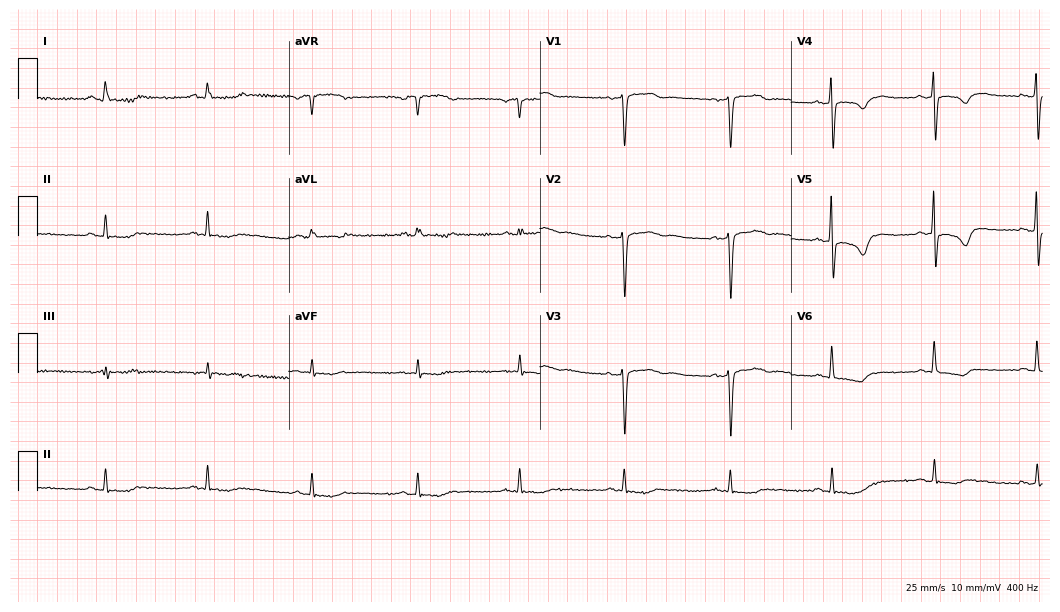
Resting 12-lead electrocardiogram. Patient: a female, 68 years old. None of these six findings is recorded: first-degree AV block, right bundle branch block (RBBB), left bundle branch block (LBBB), sinus bradycardia, atrial fibrillation (AF), sinus tachycardia.